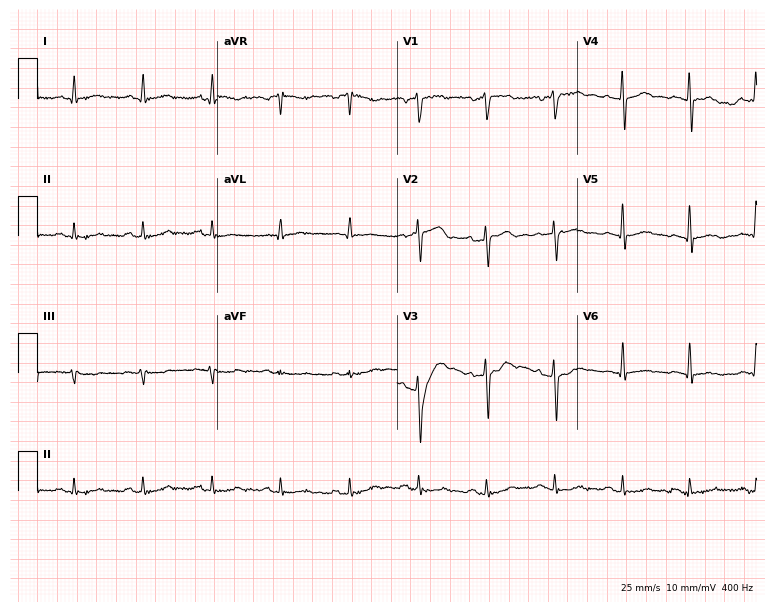
12-lead ECG from a 45-year-old man. No first-degree AV block, right bundle branch block (RBBB), left bundle branch block (LBBB), sinus bradycardia, atrial fibrillation (AF) or sinus tachycardia recorded for this tracing.